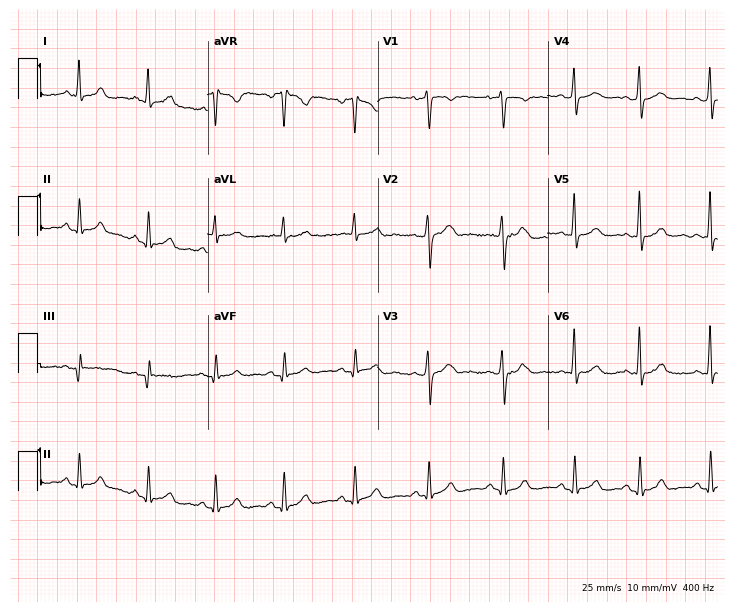
Standard 12-lead ECG recorded from a 37-year-old woman (6.9-second recording at 400 Hz). Read as a normal ECG.